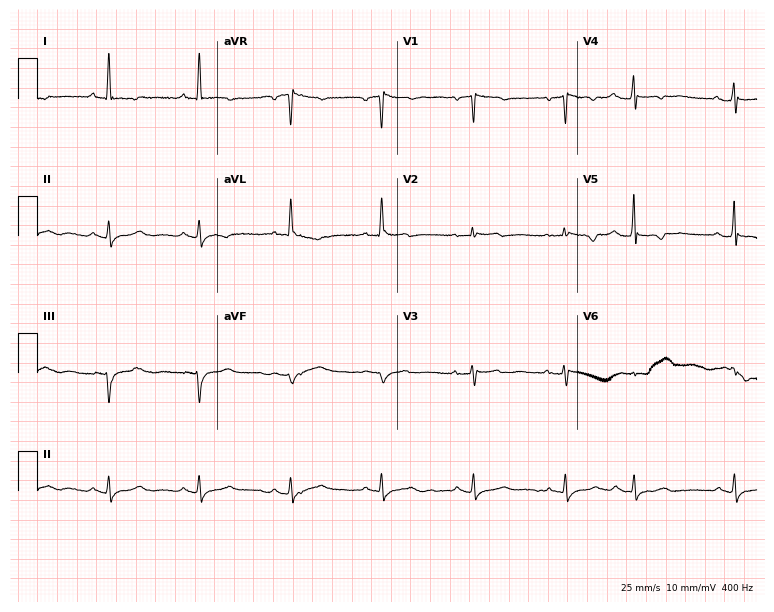
Electrocardiogram (7.3-second recording at 400 Hz), a female patient, 83 years old. Of the six screened findings (first-degree AV block, right bundle branch block, left bundle branch block, sinus bradycardia, atrial fibrillation, sinus tachycardia), none is recorded. Findings outside these six are not listed.